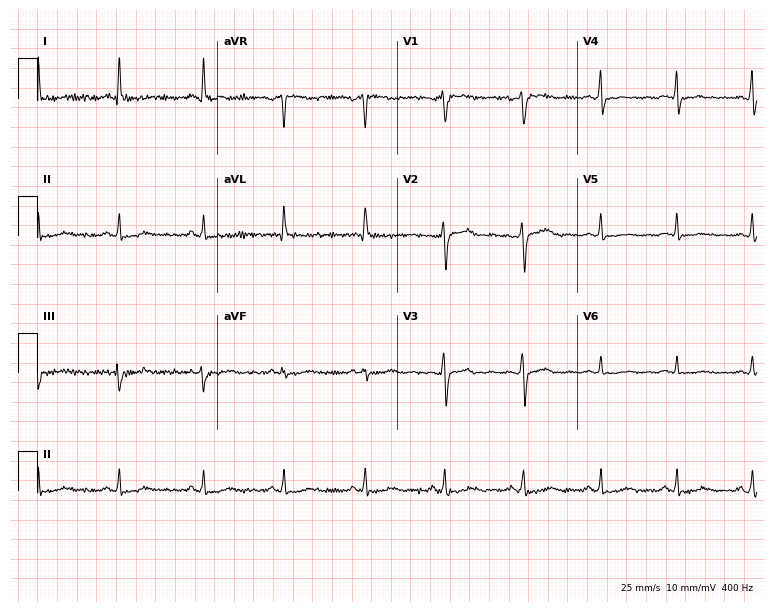
Resting 12-lead electrocardiogram. Patient: a 39-year-old woman. None of these six findings is recorded: first-degree AV block, right bundle branch block, left bundle branch block, sinus bradycardia, atrial fibrillation, sinus tachycardia. Findings outside these six are not listed.